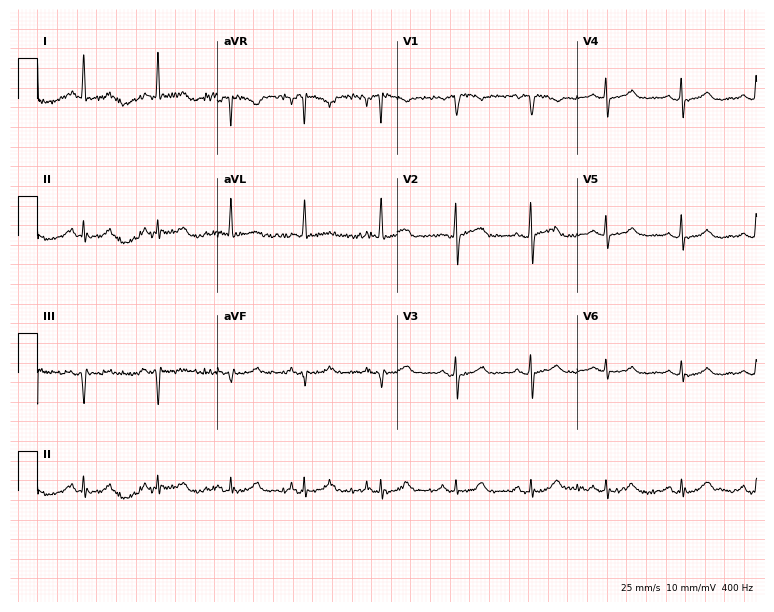
ECG — a female, 71 years old. Screened for six findings — first-degree AV block, right bundle branch block, left bundle branch block, sinus bradycardia, atrial fibrillation, sinus tachycardia — none is recorded.